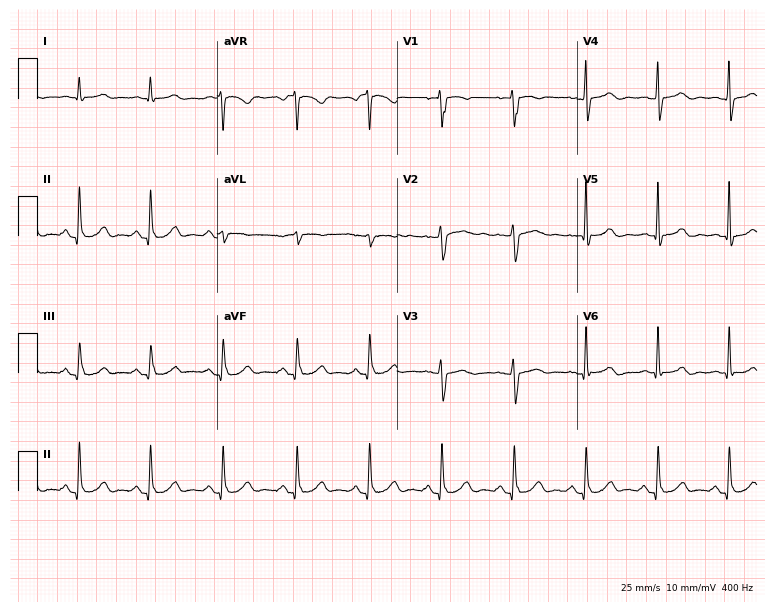
Electrocardiogram, a 69-year-old male. Overall reading on record: normal ECG.